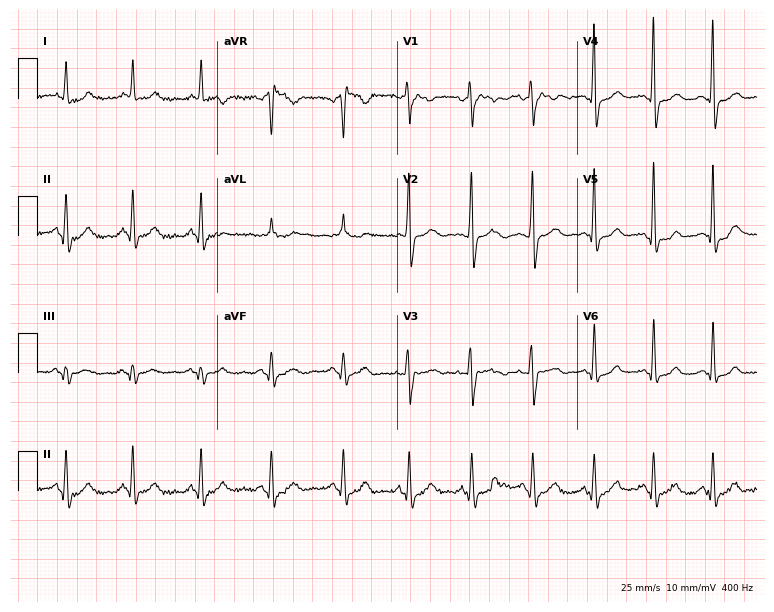
12-lead ECG from a female, 34 years old. No first-degree AV block, right bundle branch block, left bundle branch block, sinus bradycardia, atrial fibrillation or sinus tachycardia recorded for this tracing.